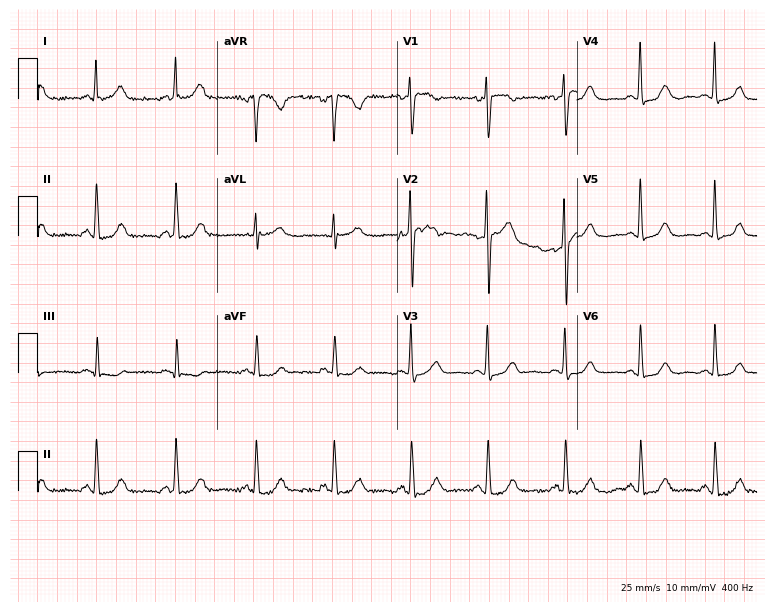
Electrocardiogram (7.3-second recording at 400 Hz), a 64-year-old woman. Overall reading on record: normal ECG.